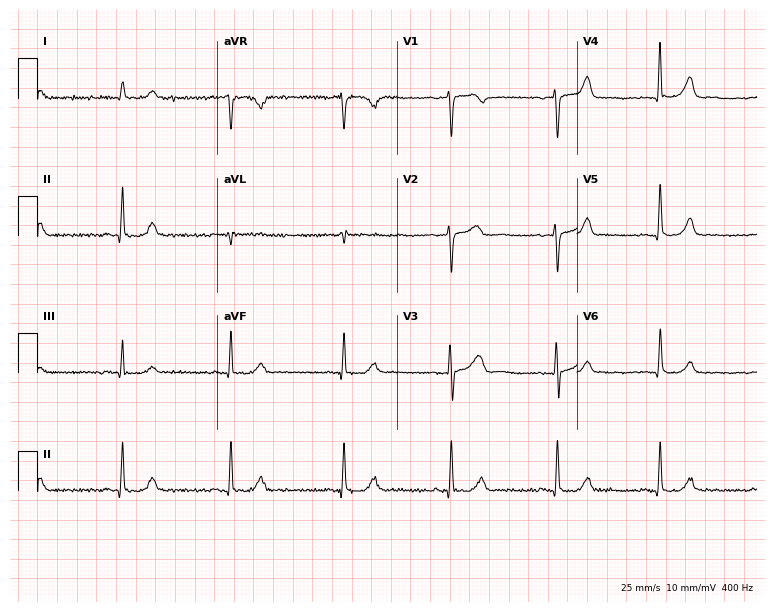
ECG (7.3-second recording at 400 Hz) — a 58-year-old female patient. Labelled as a normal ECG.